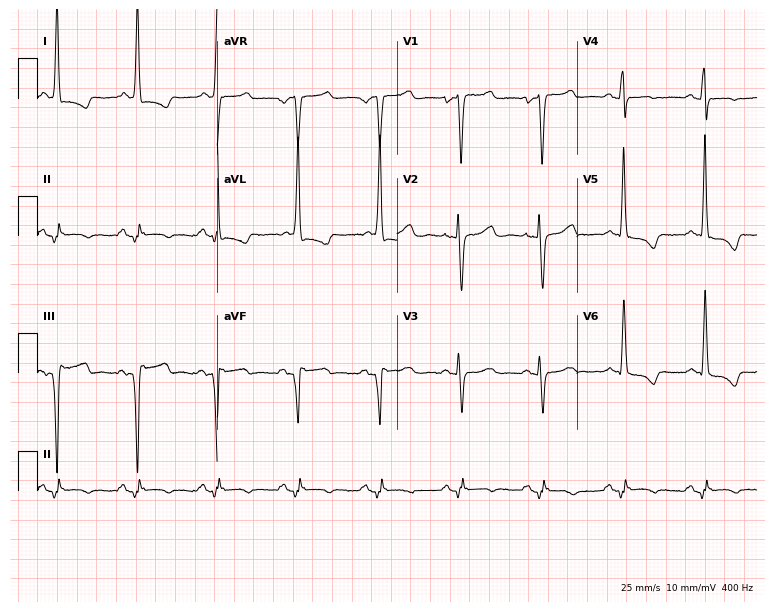
Standard 12-lead ECG recorded from a 62-year-old female patient. None of these six findings is recorded: first-degree AV block, right bundle branch block, left bundle branch block, sinus bradycardia, atrial fibrillation, sinus tachycardia. Only these six findings were labelled.